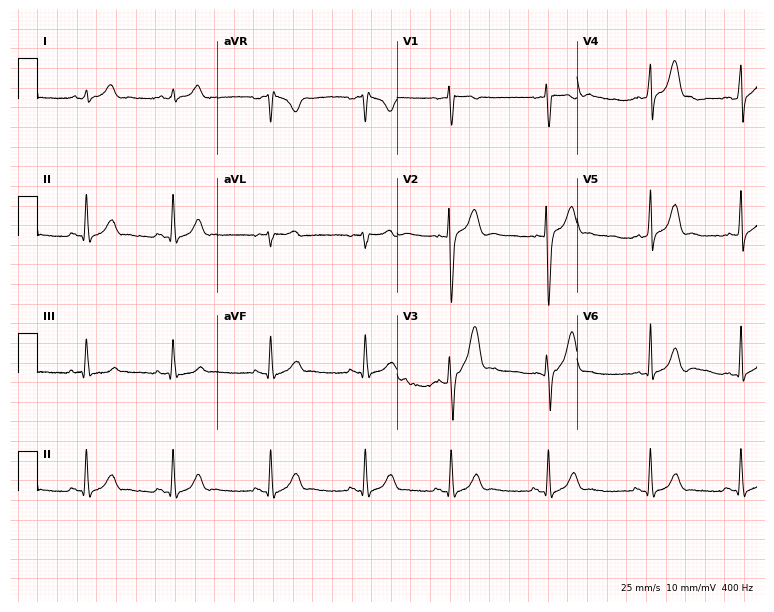
ECG — a 22-year-old man. Labelled as a normal ECG.